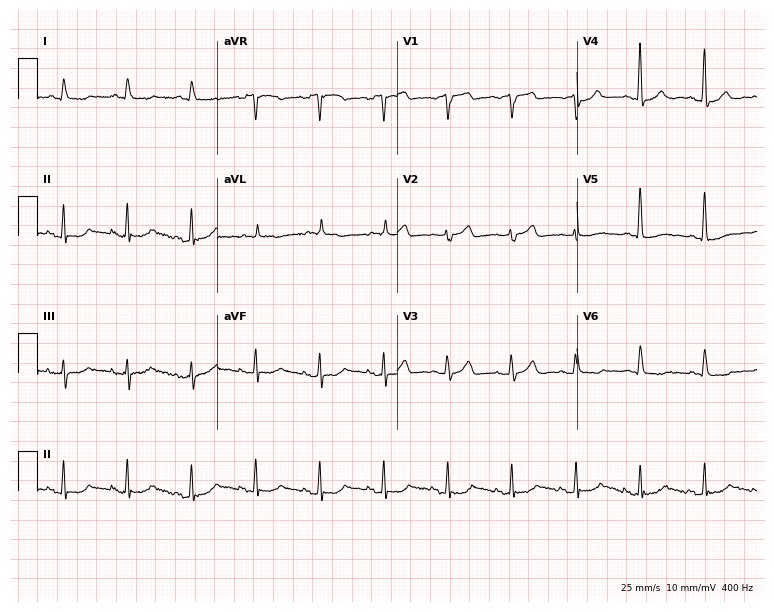
Electrocardiogram, a male, 78 years old. Of the six screened findings (first-degree AV block, right bundle branch block, left bundle branch block, sinus bradycardia, atrial fibrillation, sinus tachycardia), none is recorded. Findings outside these six are not listed.